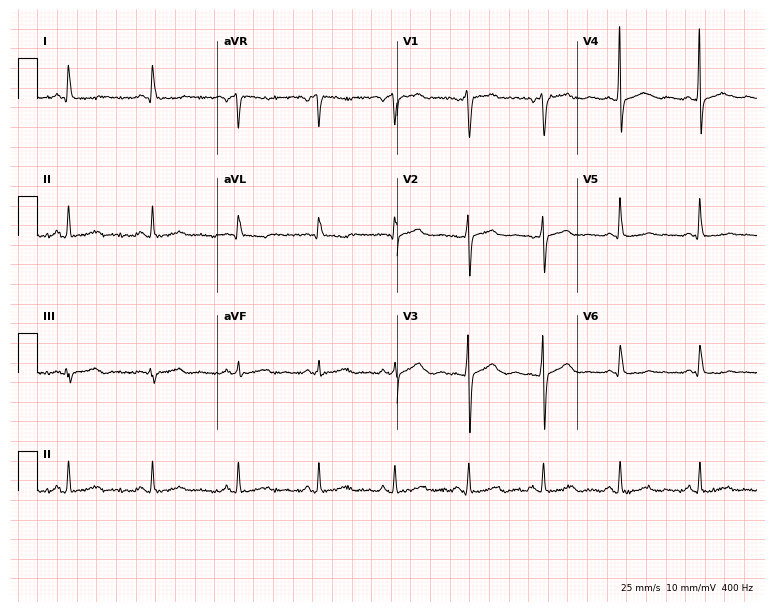
Standard 12-lead ECG recorded from a 46-year-old female patient (7.3-second recording at 400 Hz). None of these six findings is recorded: first-degree AV block, right bundle branch block (RBBB), left bundle branch block (LBBB), sinus bradycardia, atrial fibrillation (AF), sinus tachycardia. Findings outside these six are not listed.